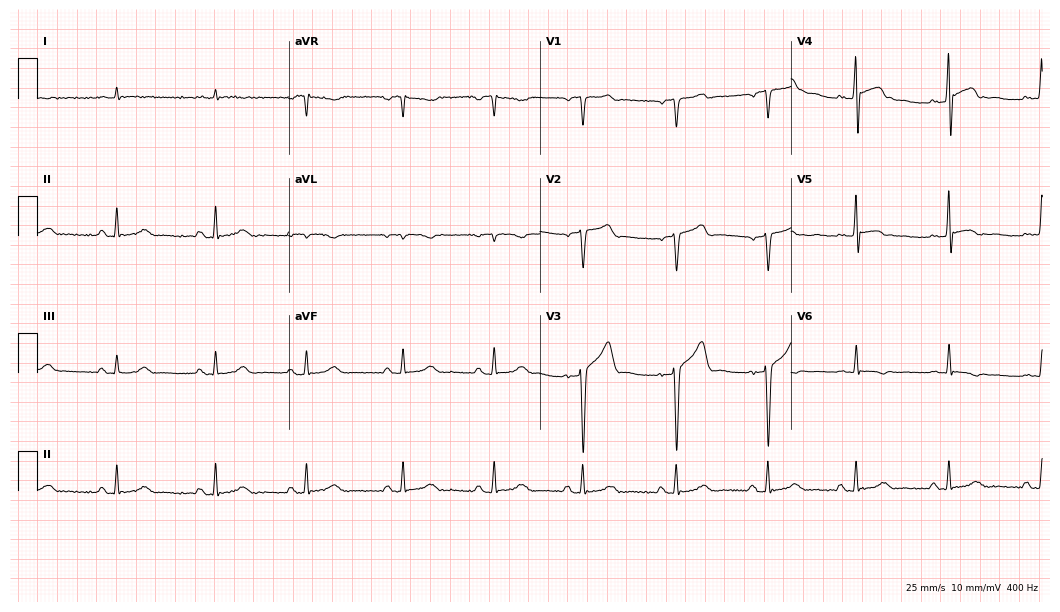
ECG — a male, 69 years old. Screened for six findings — first-degree AV block, right bundle branch block, left bundle branch block, sinus bradycardia, atrial fibrillation, sinus tachycardia — none is recorded. Findings outside these six are not listed.